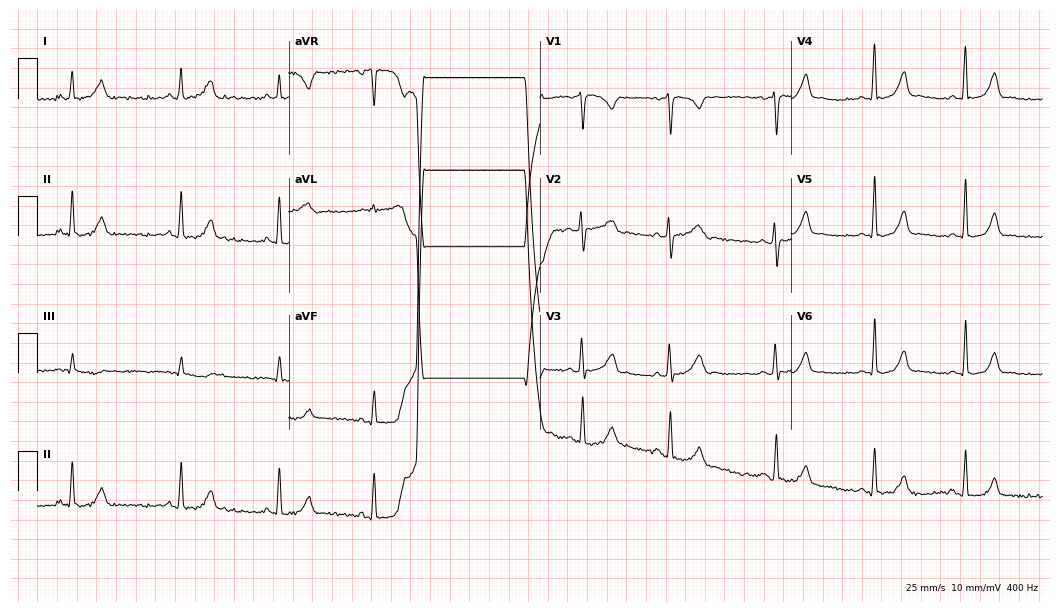
Standard 12-lead ECG recorded from a female, 30 years old (10.2-second recording at 400 Hz). None of these six findings is recorded: first-degree AV block, right bundle branch block (RBBB), left bundle branch block (LBBB), sinus bradycardia, atrial fibrillation (AF), sinus tachycardia. Findings outside these six are not listed.